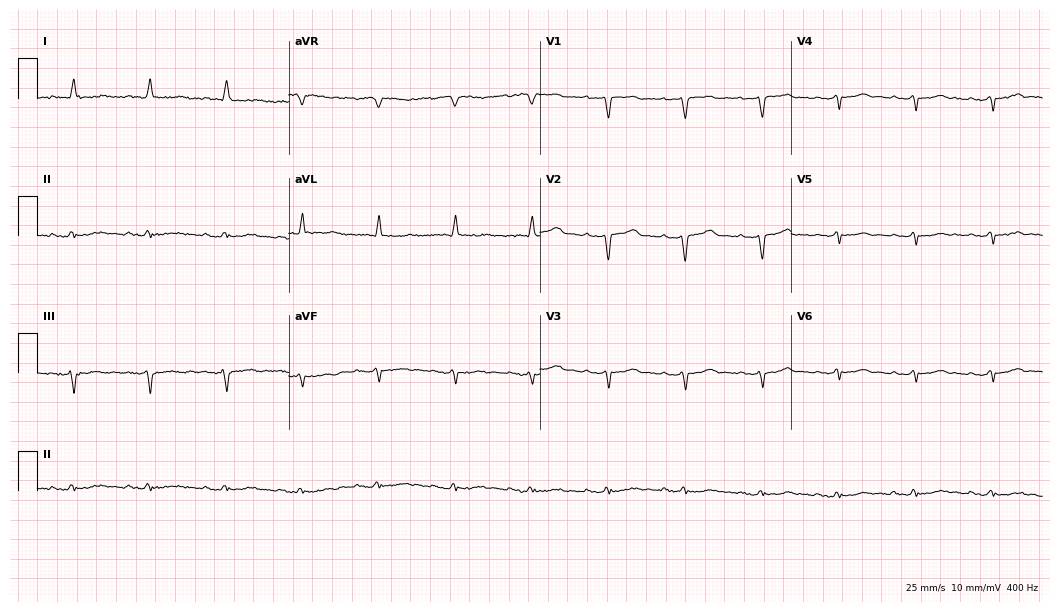
Standard 12-lead ECG recorded from a man, 70 years old (10.2-second recording at 400 Hz). None of these six findings is recorded: first-degree AV block, right bundle branch block (RBBB), left bundle branch block (LBBB), sinus bradycardia, atrial fibrillation (AF), sinus tachycardia.